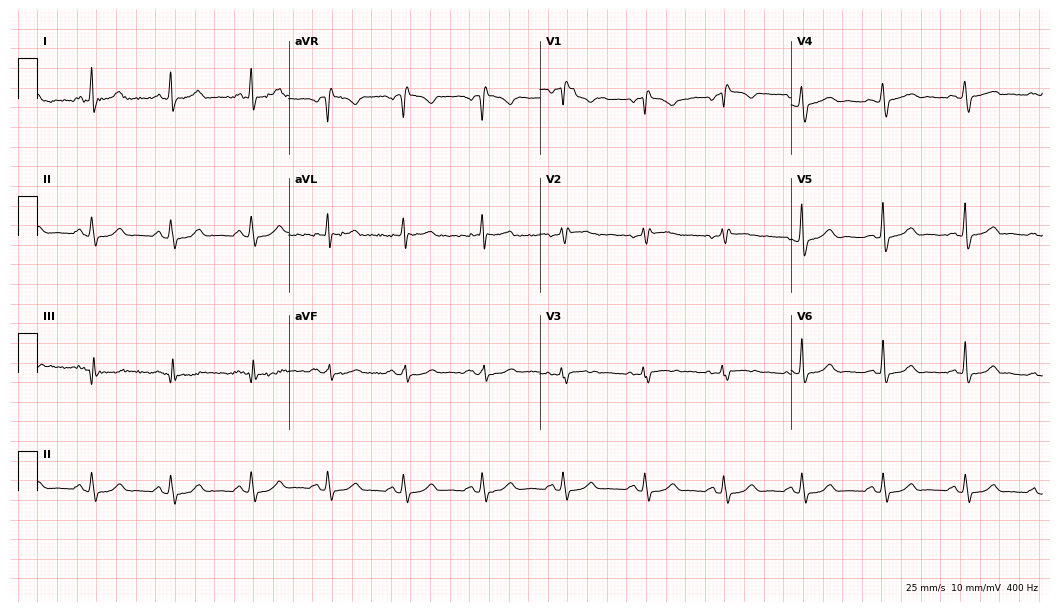
Resting 12-lead electrocardiogram (10.2-second recording at 400 Hz). Patient: a female, 45 years old. Read as a normal ECG.